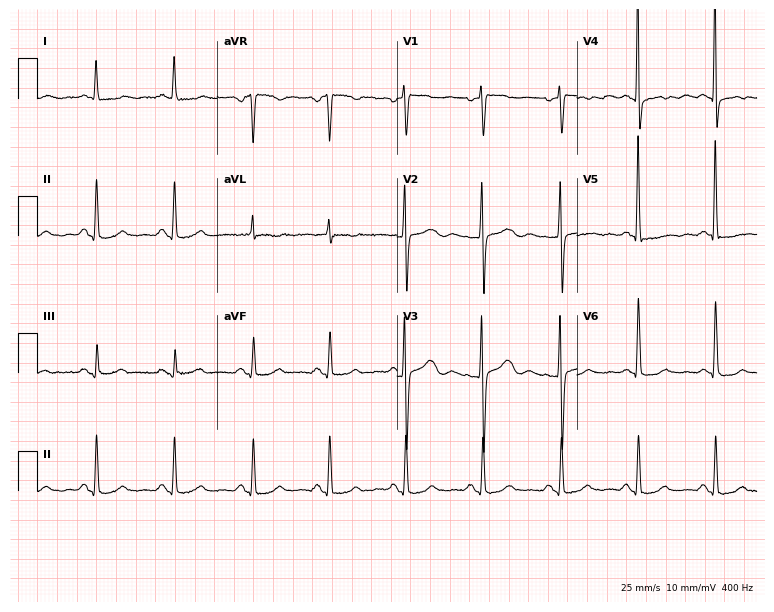
12-lead ECG from a female patient, 60 years old. Screened for six findings — first-degree AV block, right bundle branch block, left bundle branch block, sinus bradycardia, atrial fibrillation, sinus tachycardia — none is recorded. Other findings, if any, are not listed.